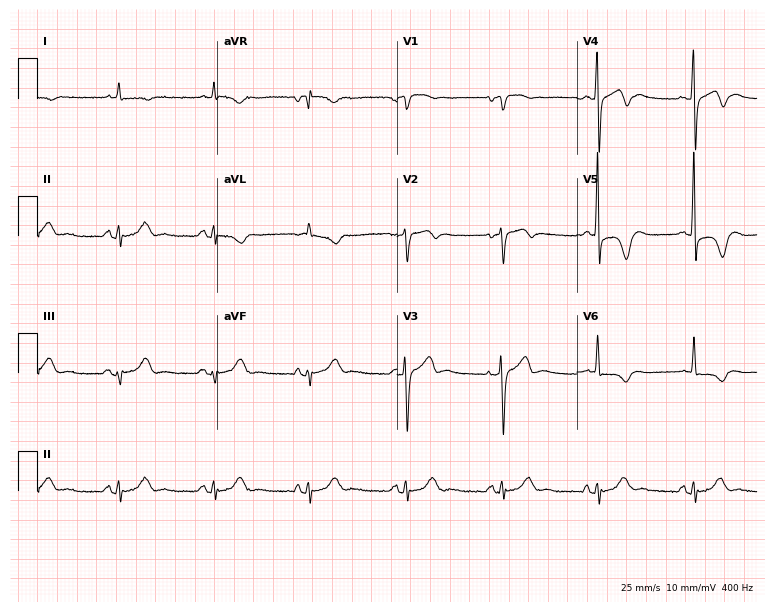
12-lead ECG from a 75-year-old man (7.3-second recording at 400 Hz). No first-degree AV block, right bundle branch block, left bundle branch block, sinus bradycardia, atrial fibrillation or sinus tachycardia recorded for this tracing. Findings outside these six are not listed.